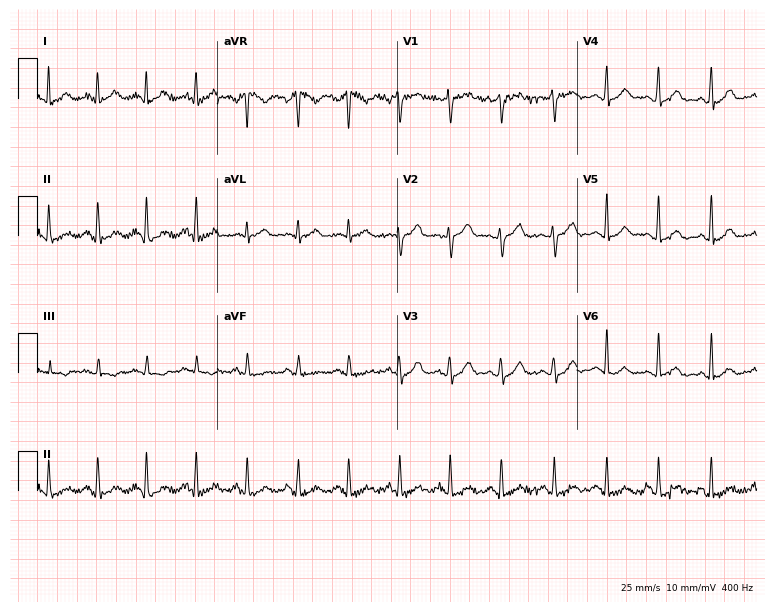
12-lead ECG from a 32-year-old female (7.3-second recording at 400 Hz). Shows sinus tachycardia (a sinus rate of 100 beats per minute or more).